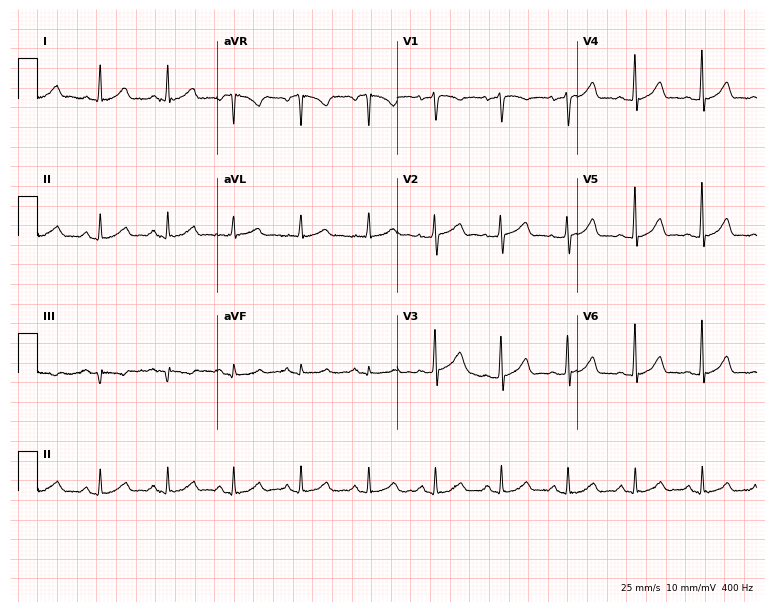
Resting 12-lead electrocardiogram. Patient: a woman, 46 years old. Read as a normal ECG.